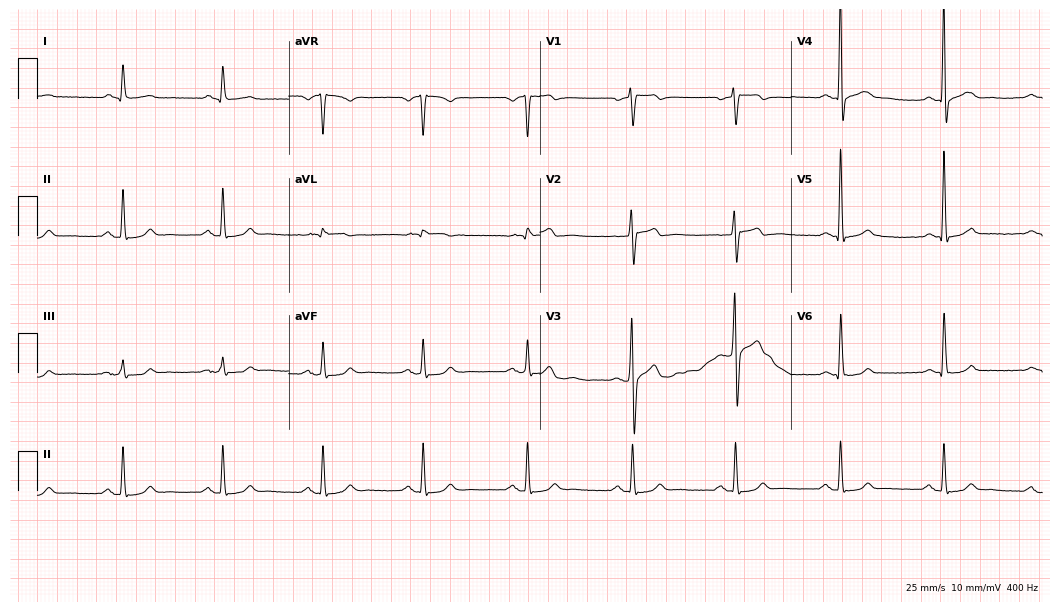
12-lead ECG from a 61-year-old male (10.2-second recording at 400 Hz). Recorded interpretation: within normal limits.